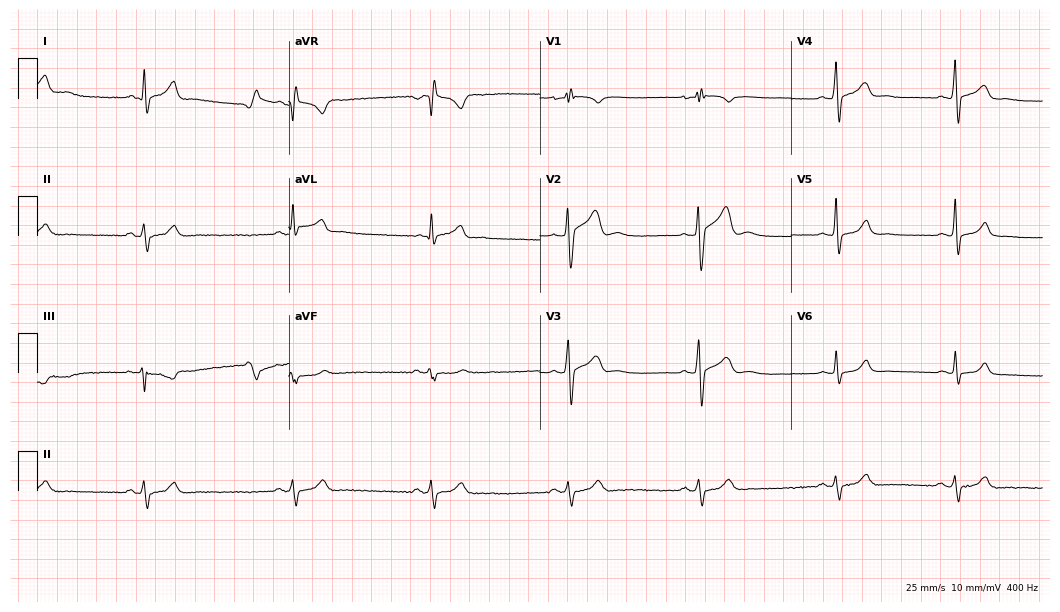
12-lead ECG (10.2-second recording at 400 Hz) from a 29-year-old male patient. Findings include sinus bradycardia (a sinus rate of 50 beats per minute or less).